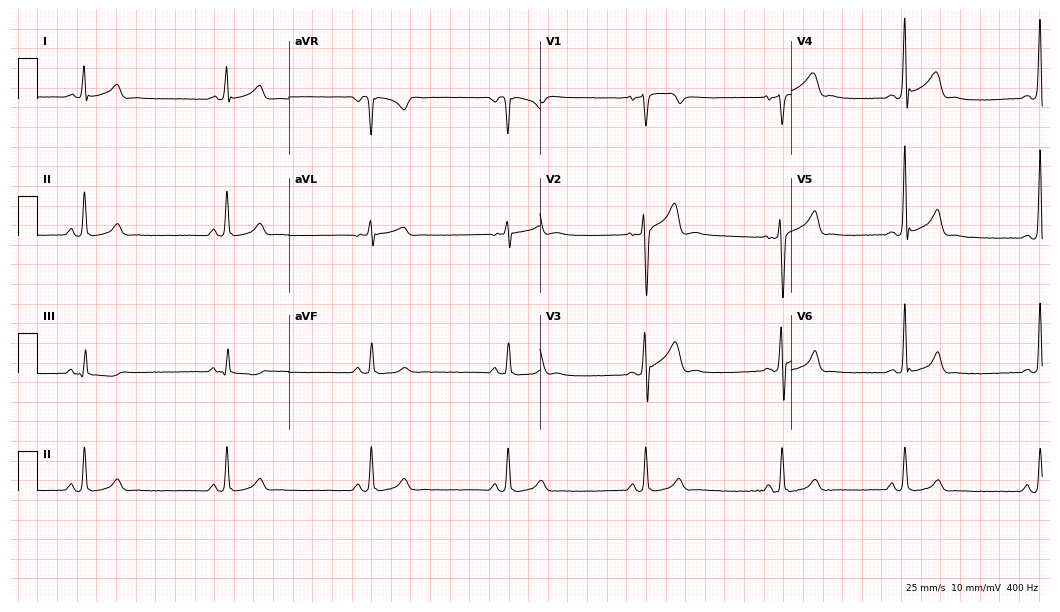
Standard 12-lead ECG recorded from a male, 24 years old. The tracing shows sinus bradycardia (a sinus rate of 50 beats per minute or less).